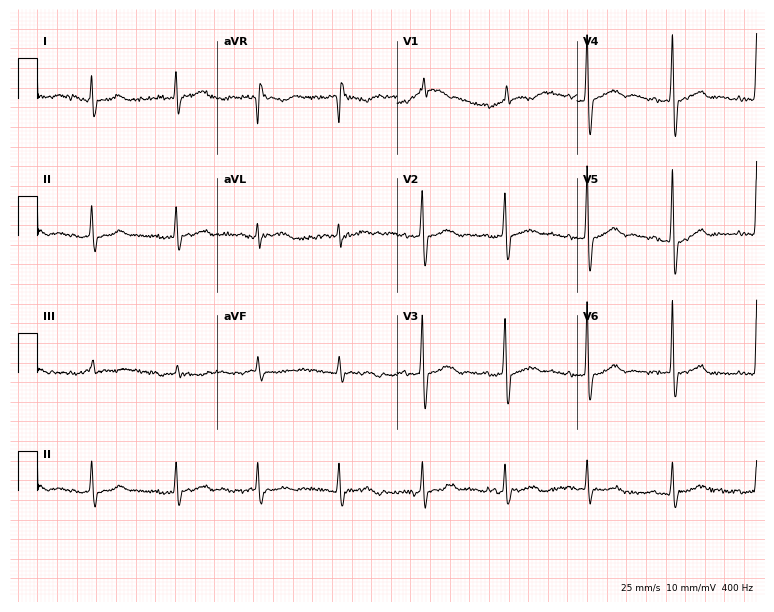
Resting 12-lead electrocardiogram (7.3-second recording at 400 Hz). Patient: a 78-year-old male. Read as a normal ECG.